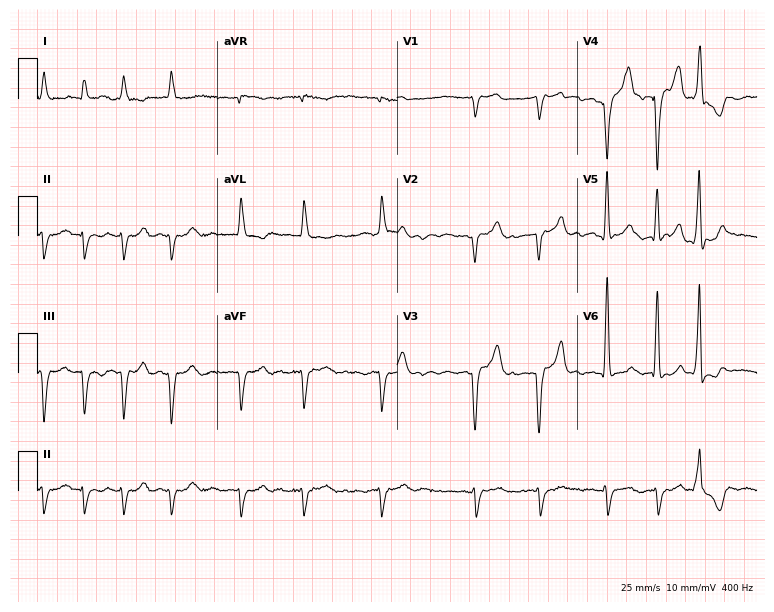
ECG (7.3-second recording at 400 Hz) — a male patient, 67 years old. Findings include atrial fibrillation.